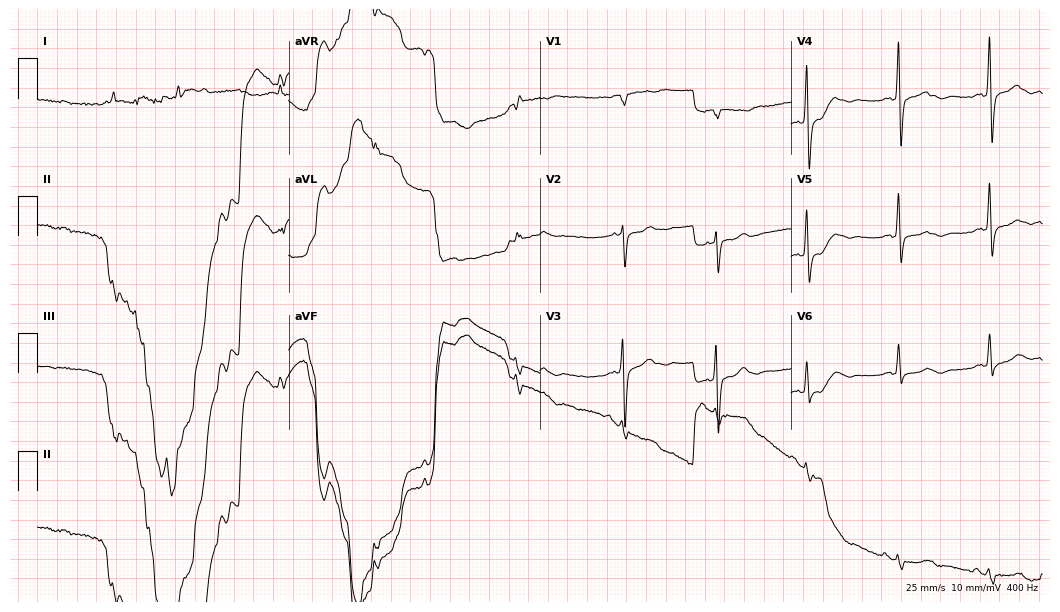
12-lead ECG from an 83-year-old male patient (10.2-second recording at 400 Hz). No first-degree AV block, right bundle branch block, left bundle branch block, sinus bradycardia, atrial fibrillation or sinus tachycardia recorded for this tracing. Findings outside these six are not listed.